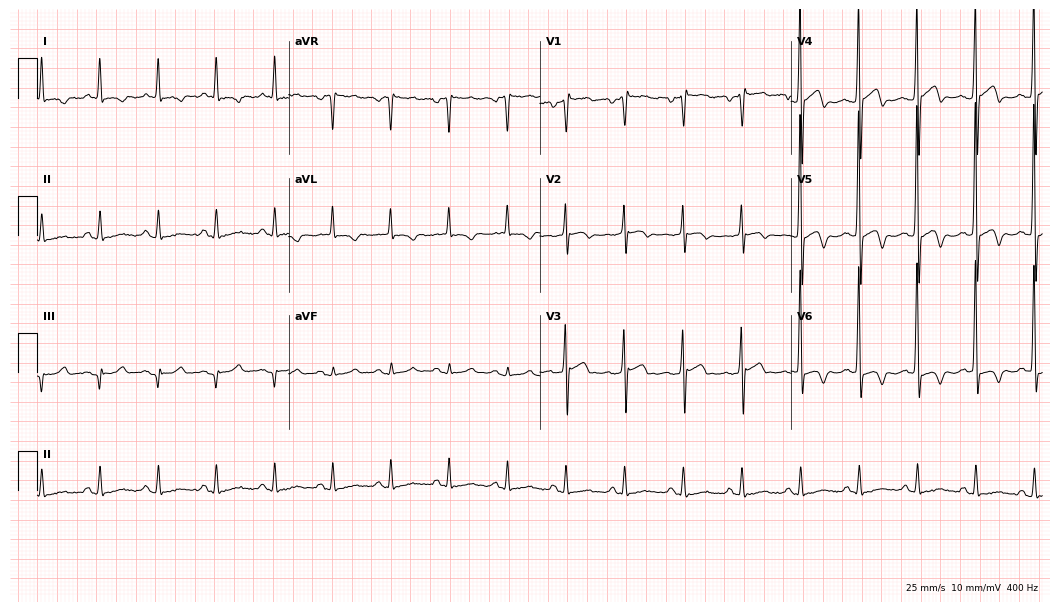
Standard 12-lead ECG recorded from a male patient, 64 years old. The tracing shows sinus tachycardia (a sinus rate of 100 beats per minute or more).